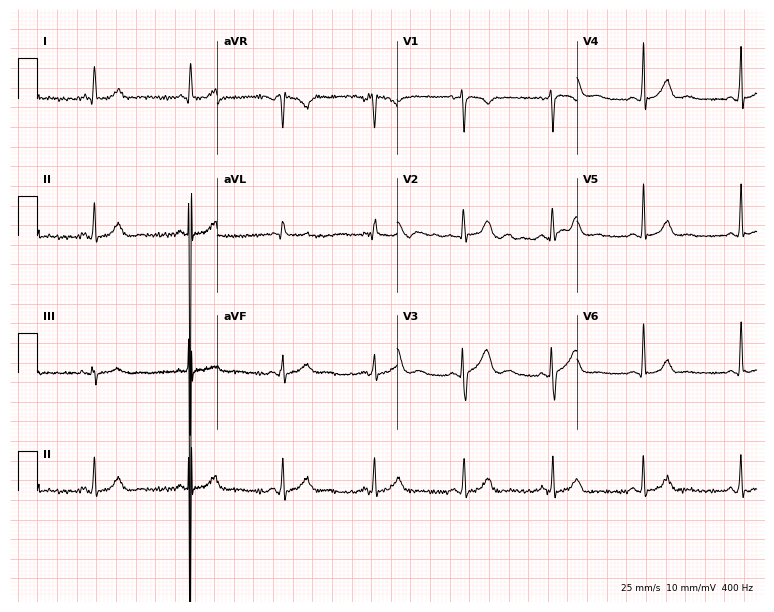
Standard 12-lead ECG recorded from a female patient, 24 years old. Read as a normal ECG.